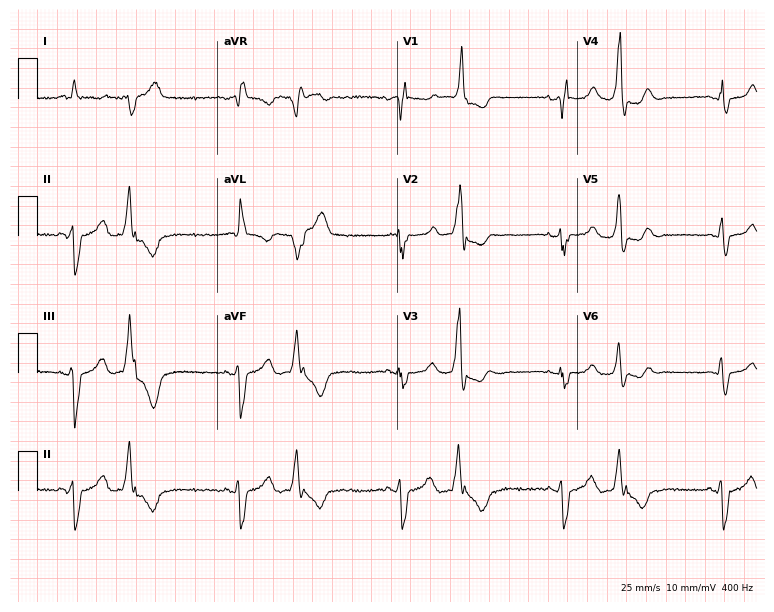
ECG (7.3-second recording at 400 Hz) — a female, 40 years old. Findings include right bundle branch block.